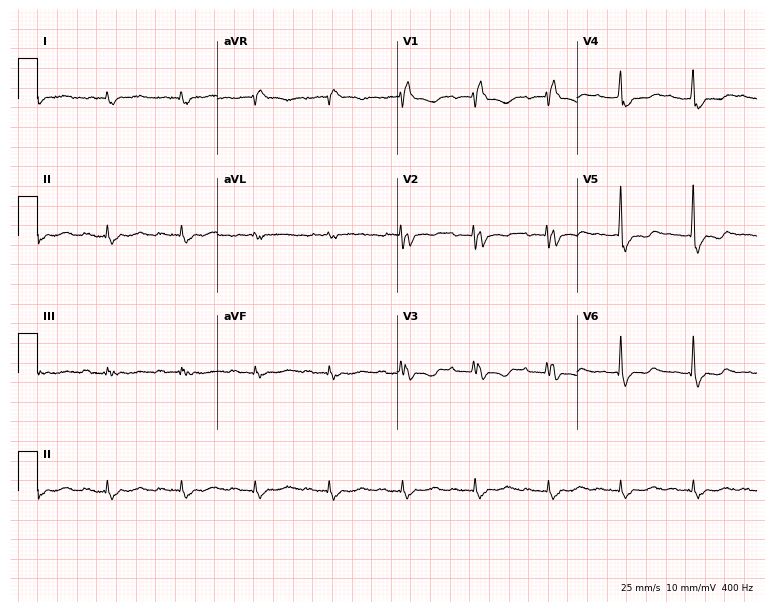
12-lead ECG from a male, 85 years old. Findings include first-degree AV block, right bundle branch block.